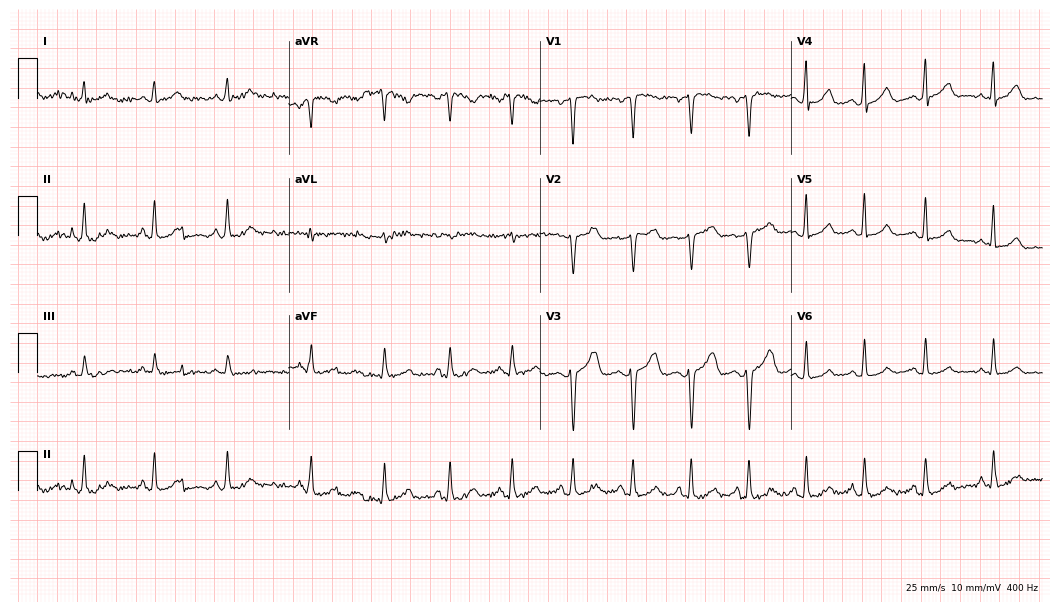
12-lead ECG from a male, 41 years old. No first-degree AV block, right bundle branch block, left bundle branch block, sinus bradycardia, atrial fibrillation or sinus tachycardia recorded for this tracing.